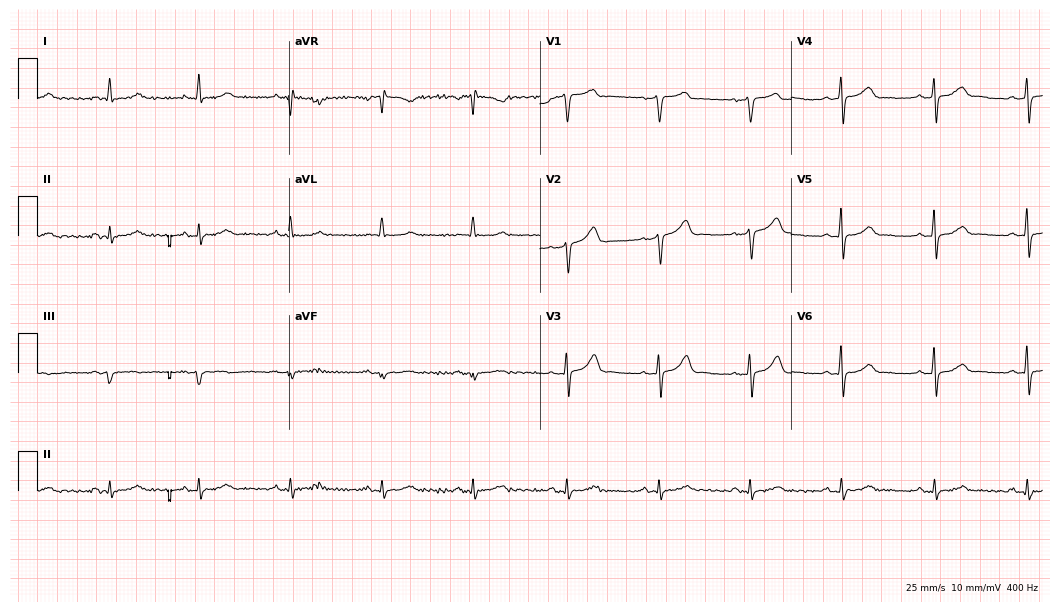
12-lead ECG (10.2-second recording at 400 Hz) from a male patient, 54 years old. Labelled as a normal ECG.